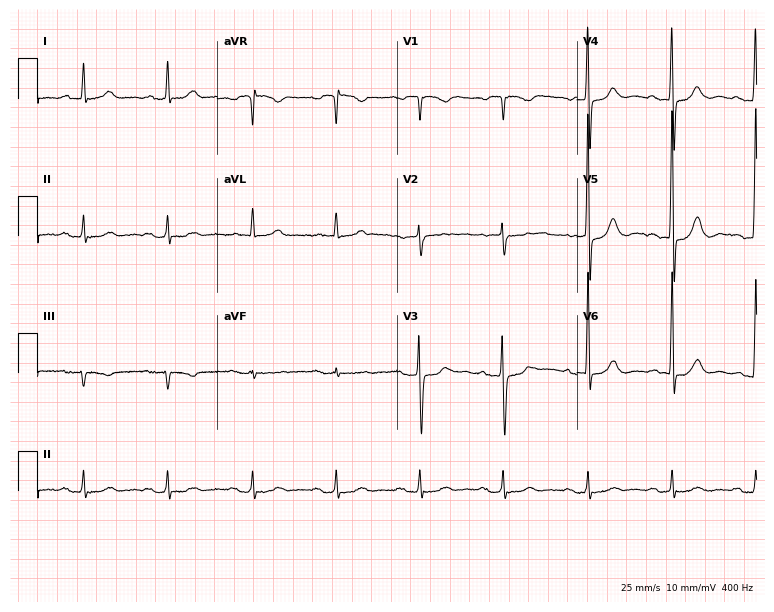
ECG (7.3-second recording at 400 Hz) — a man, 80 years old. Labelled as a normal ECG.